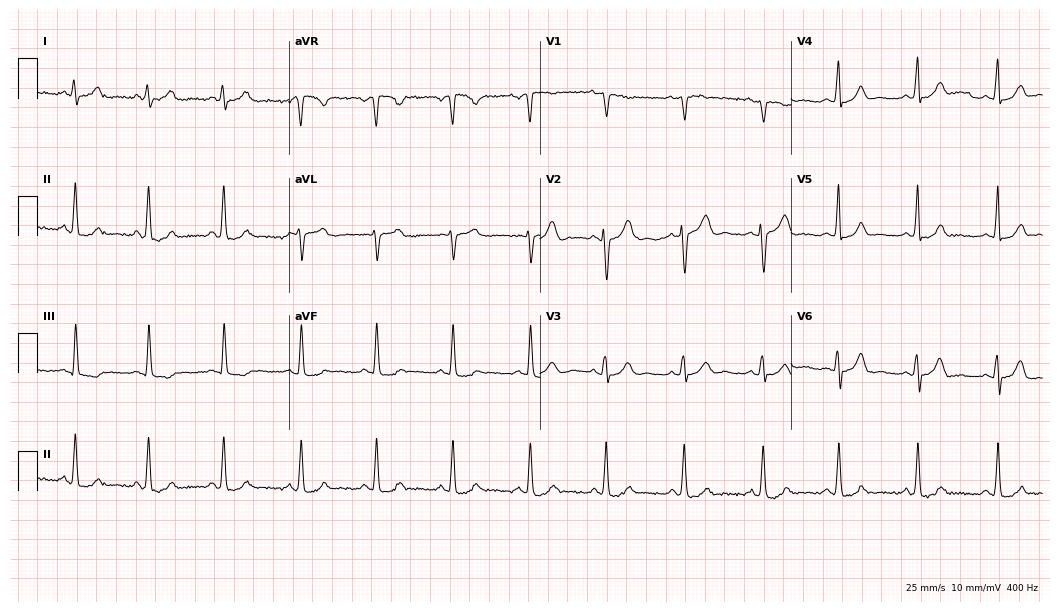
12-lead ECG from a 20-year-old female. Recorded interpretation: within normal limits.